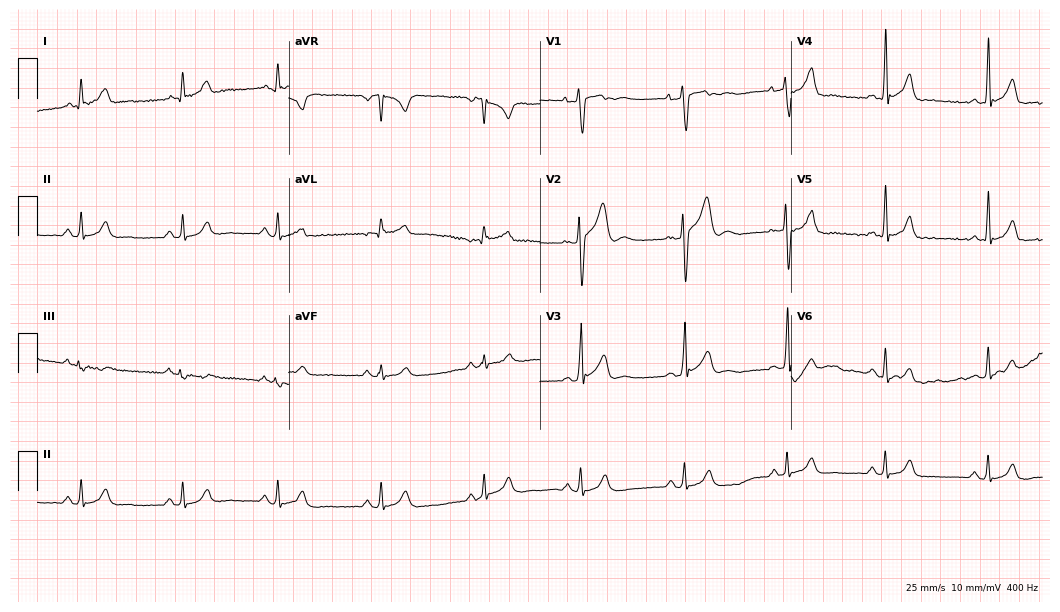
Electrocardiogram (10.2-second recording at 400 Hz), a 20-year-old man. Of the six screened findings (first-degree AV block, right bundle branch block, left bundle branch block, sinus bradycardia, atrial fibrillation, sinus tachycardia), none is recorded.